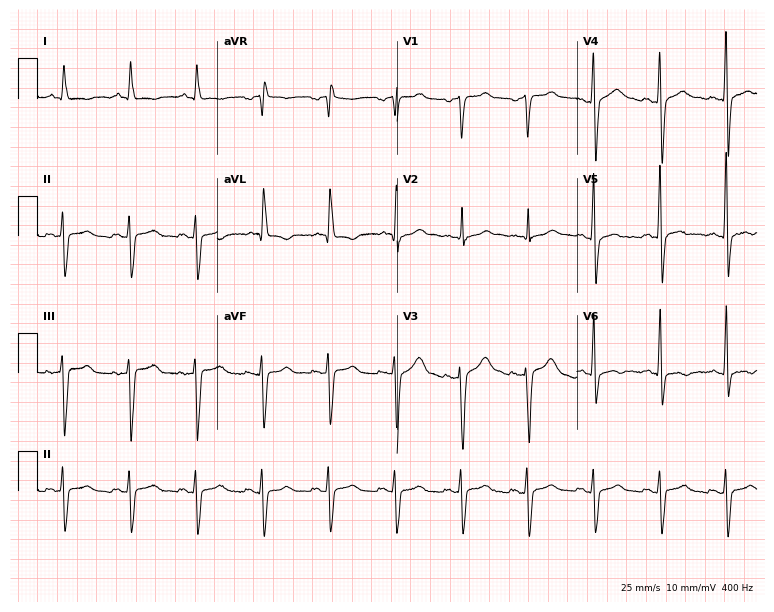
Resting 12-lead electrocardiogram. Patient: a female, 83 years old. None of these six findings is recorded: first-degree AV block, right bundle branch block, left bundle branch block, sinus bradycardia, atrial fibrillation, sinus tachycardia. Only these six findings were labelled.